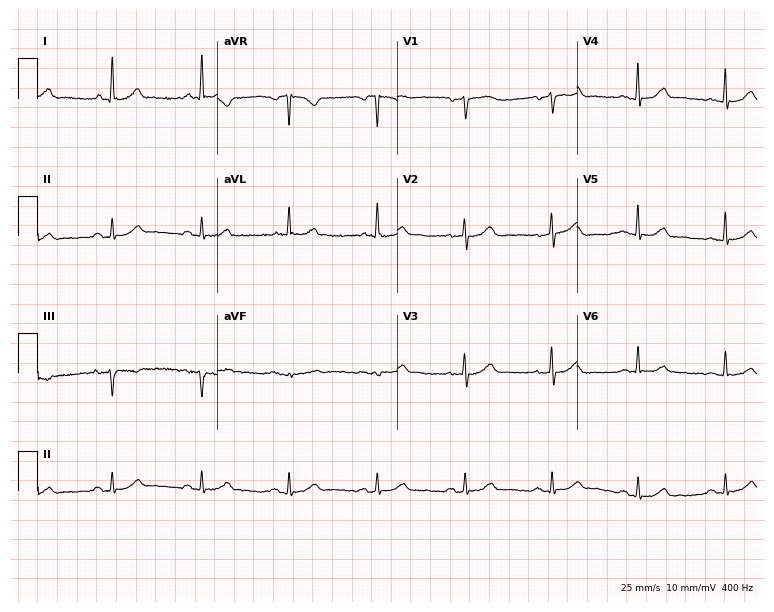
Electrocardiogram, a female, 66 years old. Overall reading on record: normal ECG.